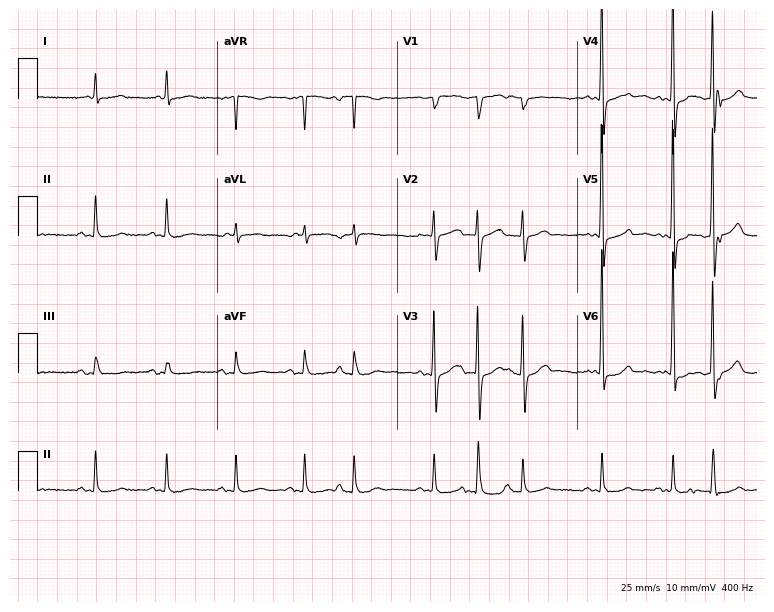
Standard 12-lead ECG recorded from a 79-year-old male patient (7.3-second recording at 400 Hz). None of these six findings is recorded: first-degree AV block, right bundle branch block, left bundle branch block, sinus bradycardia, atrial fibrillation, sinus tachycardia. Findings outside these six are not listed.